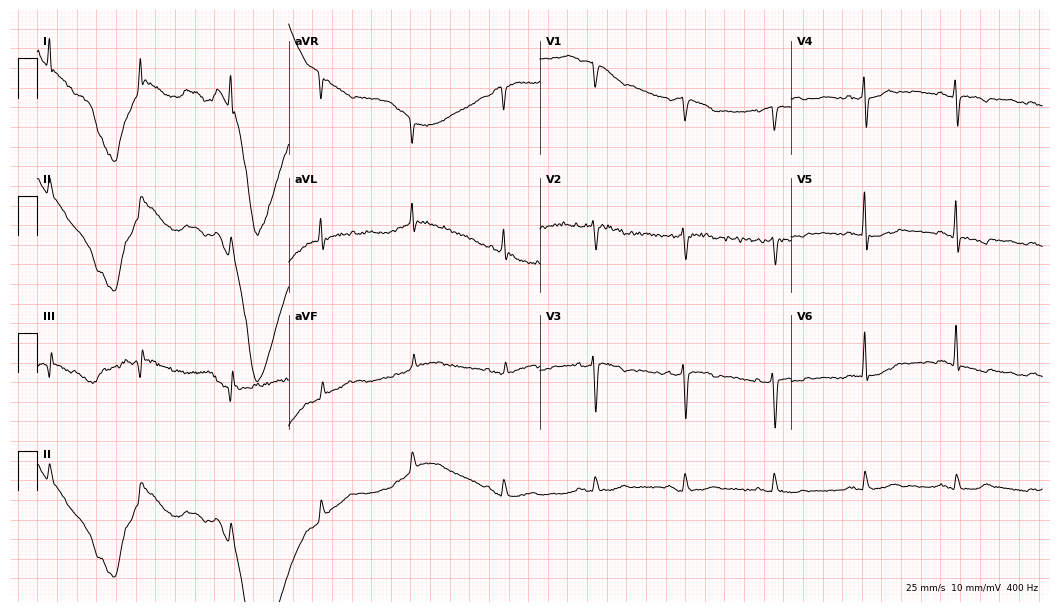
Standard 12-lead ECG recorded from a man, 77 years old (10.2-second recording at 400 Hz). Read as a normal ECG.